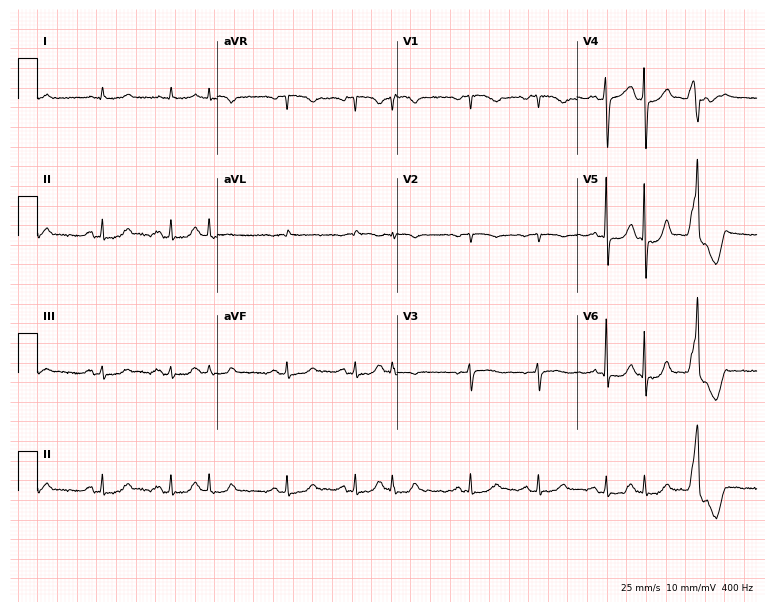
Standard 12-lead ECG recorded from a male patient, 84 years old. None of these six findings is recorded: first-degree AV block, right bundle branch block (RBBB), left bundle branch block (LBBB), sinus bradycardia, atrial fibrillation (AF), sinus tachycardia.